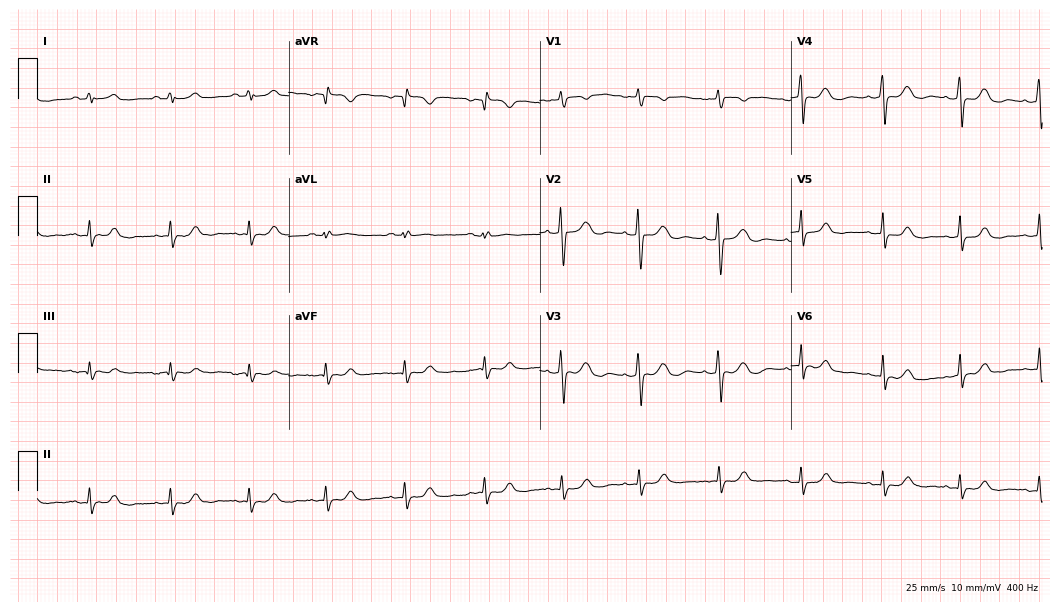
Standard 12-lead ECG recorded from a female, 32 years old. Read as a normal ECG.